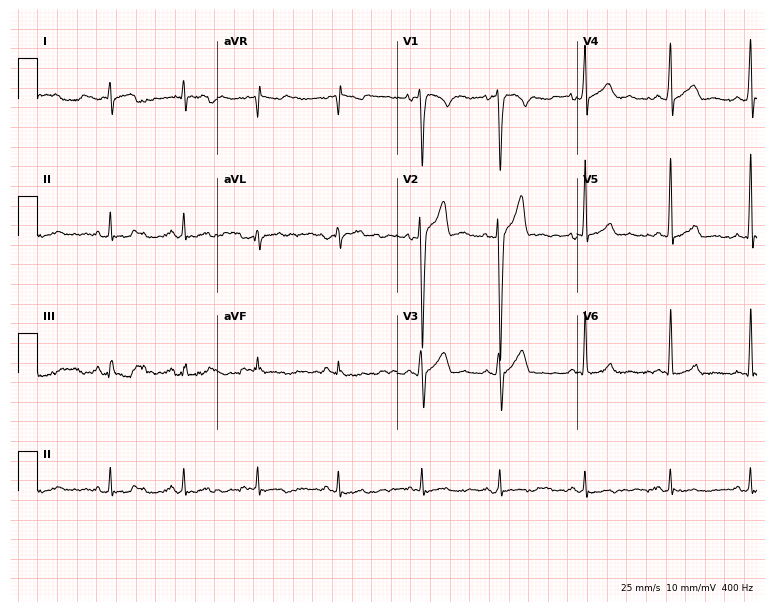
Resting 12-lead electrocardiogram. Patient: a 29-year-old male. None of these six findings is recorded: first-degree AV block, right bundle branch block (RBBB), left bundle branch block (LBBB), sinus bradycardia, atrial fibrillation (AF), sinus tachycardia. Other findings, if any, are not listed.